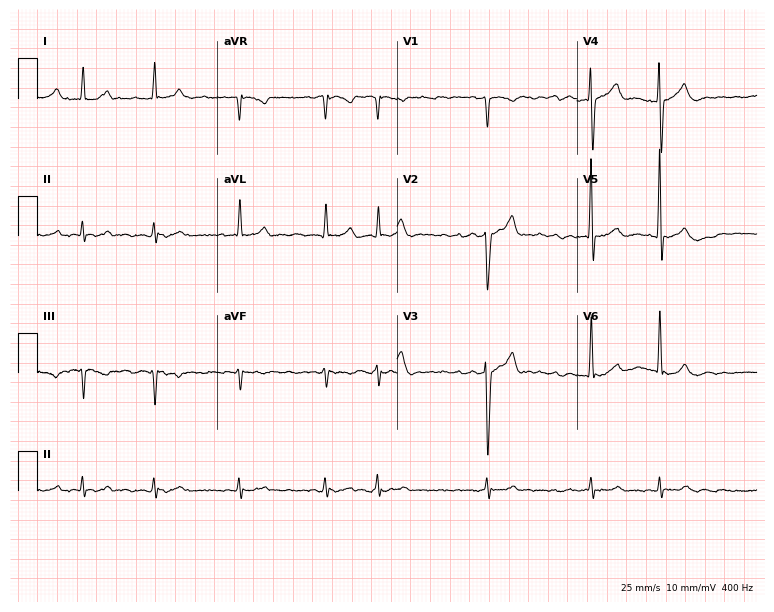
Standard 12-lead ECG recorded from a male patient, 60 years old. The tracing shows atrial fibrillation (AF).